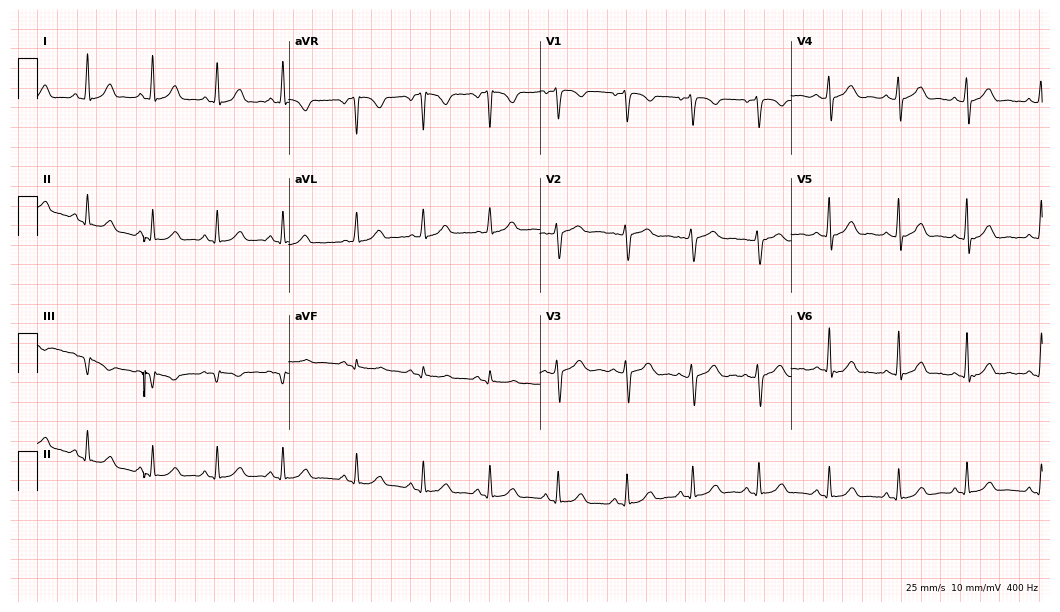
ECG (10.2-second recording at 400 Hz) — a 29-year-old male. Screened for six findings — first-degree AV block, right bundle branch block, left bundle branch block, sinus bradycardia, atrial fibrillation, sinus tachycardia — none is recorded. Only these six findings were labelled.